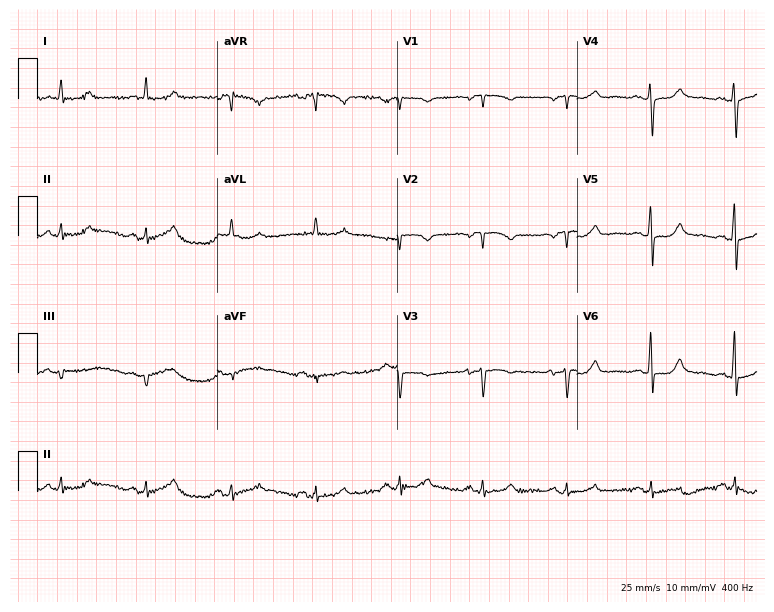
Electrocardiogram, a 72-year-old female patient. Of the six screened findings (first-degree AV block, right bundle branch block, left bundle branch block, sinus bradycardia, atrial fibrillation, sinus tachycardia), none is recorded.